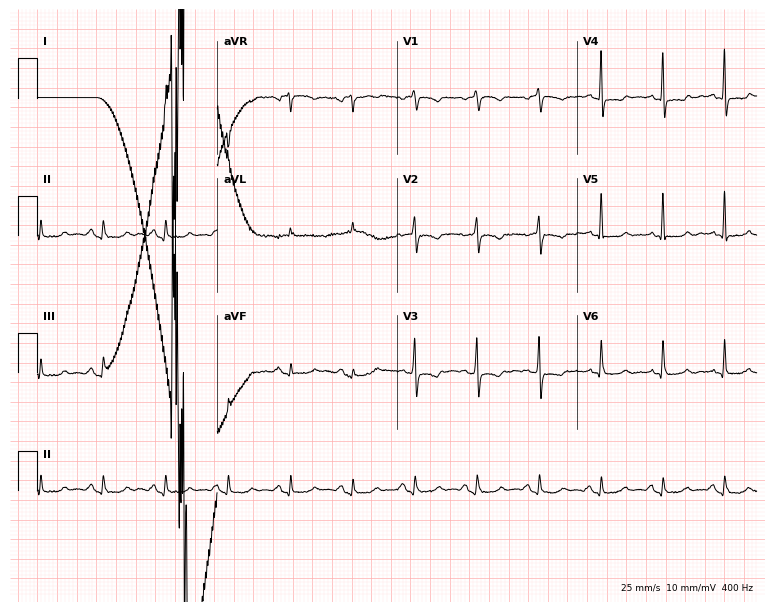
ECG — a male, 72 years old. Screened for six findings — first-degree AV block, right bundle branch block (RBBB), left bundle branch block (LBBB), sinus bradycardia, atrial fibrillation (AF), sinus tachycardia — none is recorded.